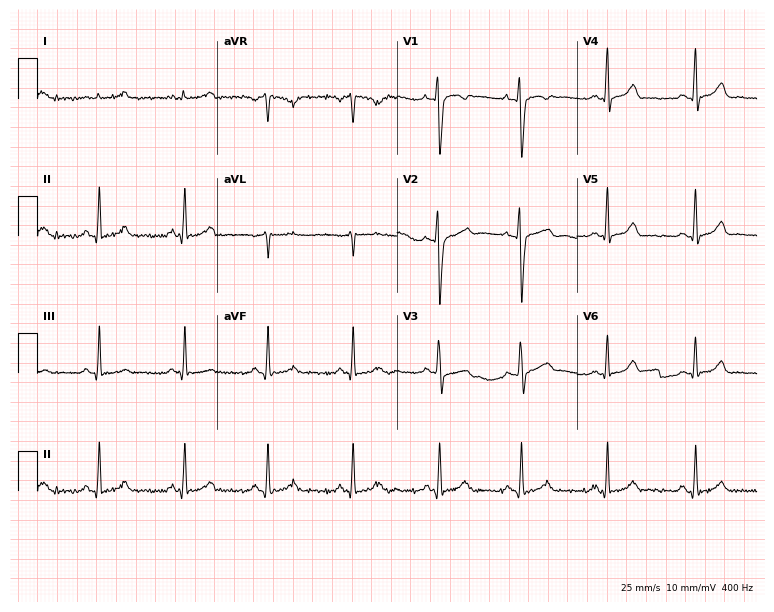
Standard 12-lead ECG recorded from a woman, 33 years old. Read as a normal ECG.